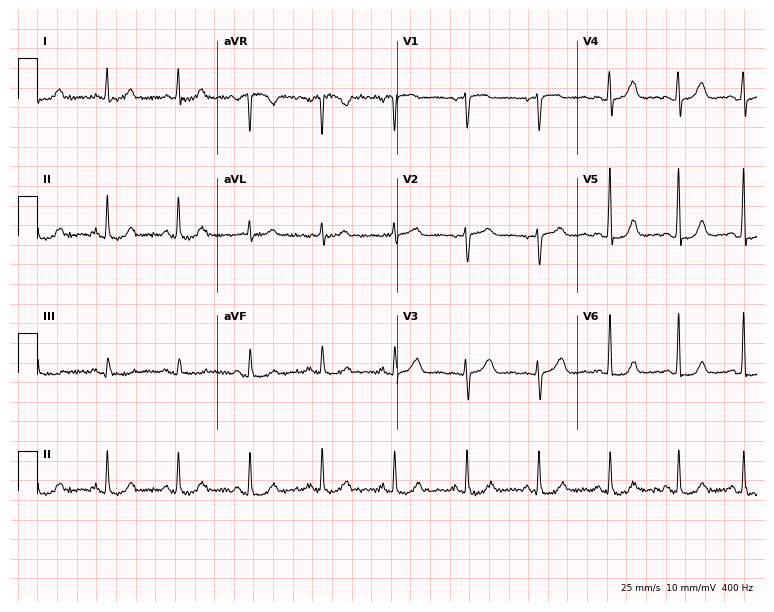
12-lead ECG from a female patient, 57 years old (7.3-second recording at 400 Hz). Recorded interpretation: within normal limits.